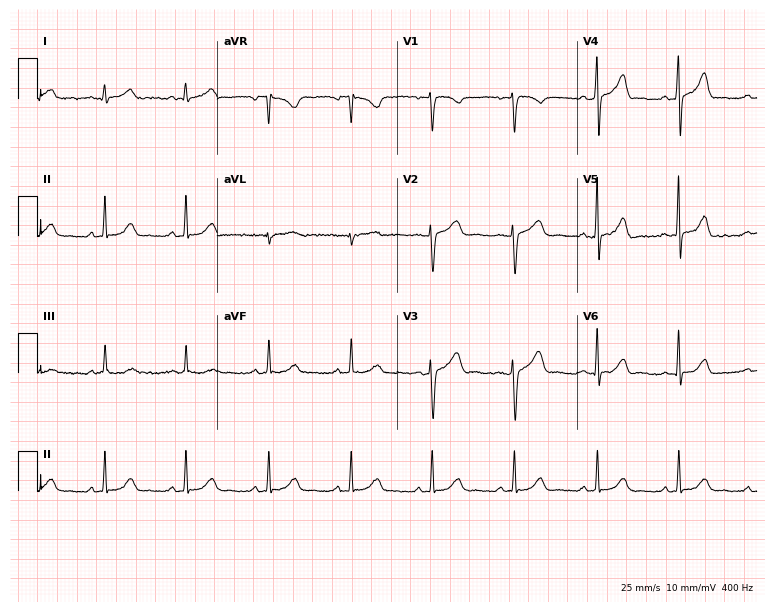
Electrocardiogram, a female patient, 28 years old. Overall reading on record: normal ECG.